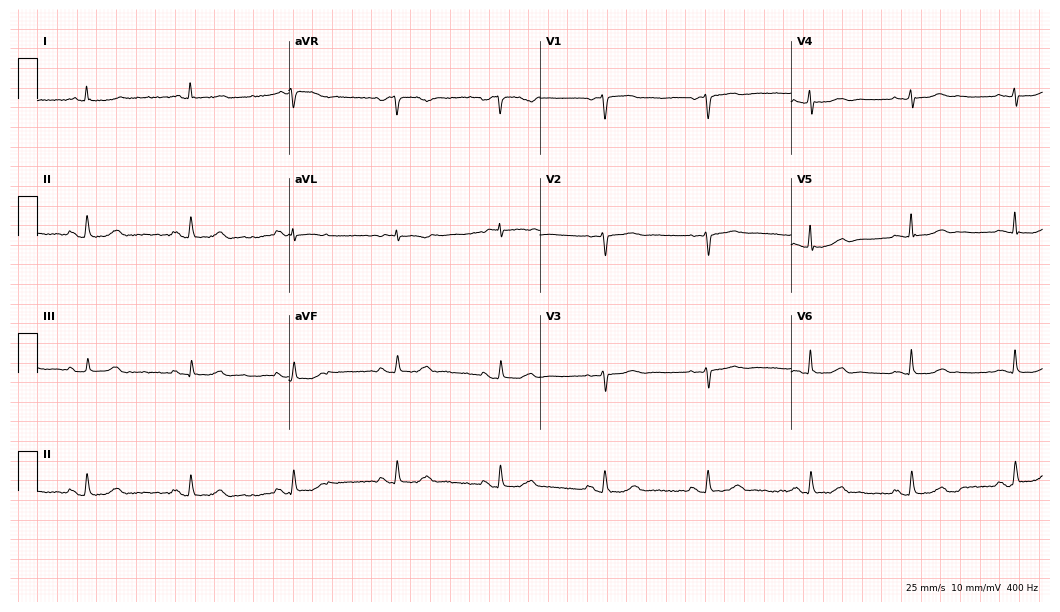
ECG (10.2-second recording at 400 Hz) — a 78-year-old female. Screened for six findings — first-degree AV block, right bundle branch block (RBBB), left bundle branch block (LBBB), sinus bradycardia, atrial fibrillation (AF), sinus tachycardia — none is recorded. Only these six findings were labelled.